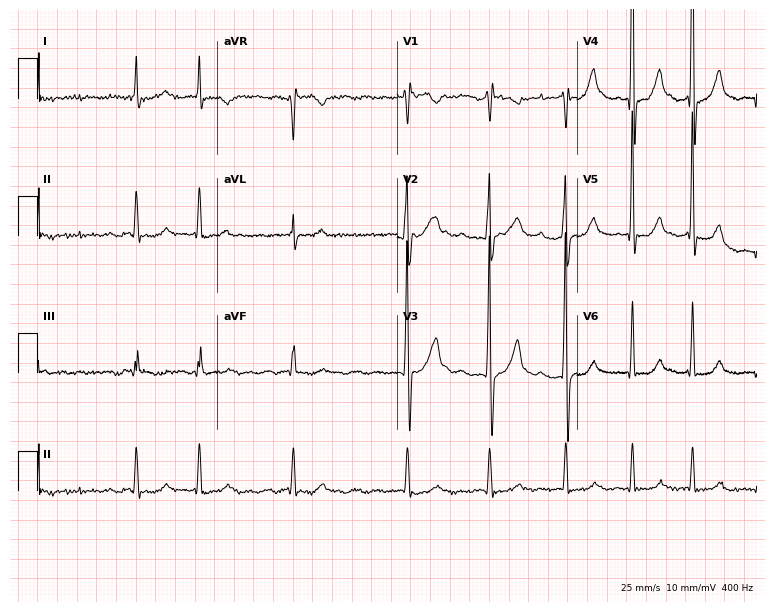
Standard 12-lead ECG recorded from a 66-year-old male patient (7.3-second recording at 400 Hz). The tracing shows atrial fibrillation (AF).